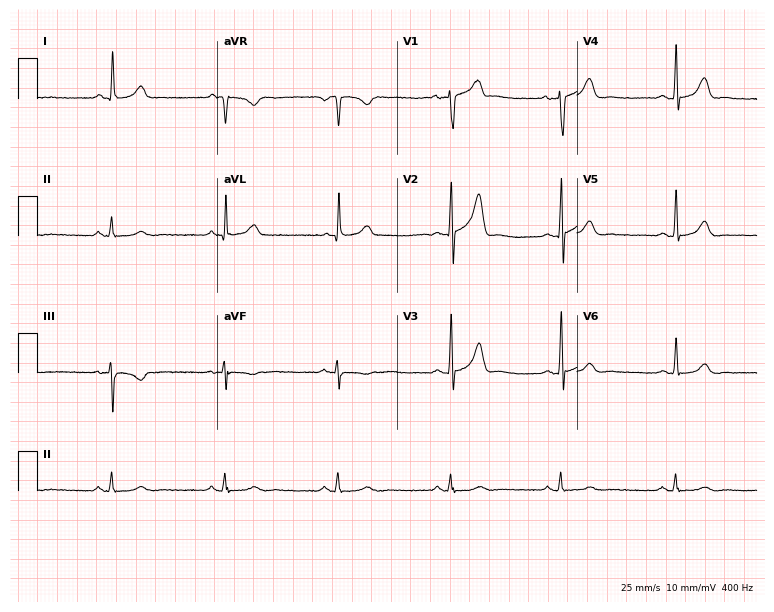
Resting 12-lead electrocardiogram. Patient: a man, 50 years old. Read as a normal ECG.